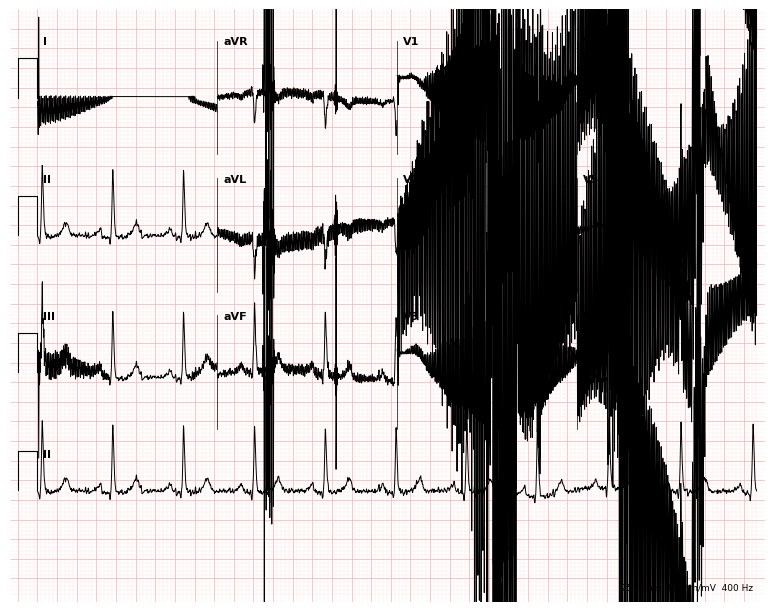
Standard 12-lead ECG recorded from a woman, 45 years old. The tracing shows atrial fibrillation (AF).